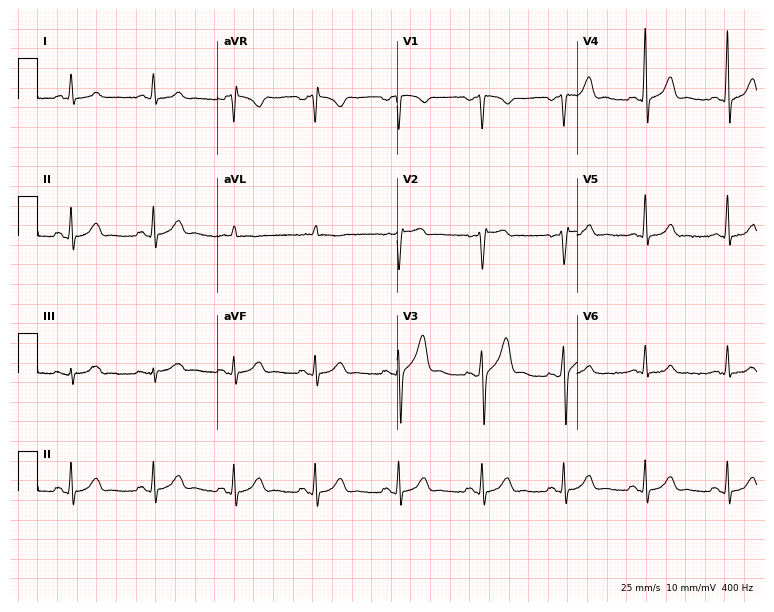
ECG — a male, 52 years old. Screened for six findings — first-degree AV block, right bundle branch block, left bundle branch block, sinus bradycardia, atrial fibrillation, sinus tachycardia — none is recorded. Only these six findings were labelled.